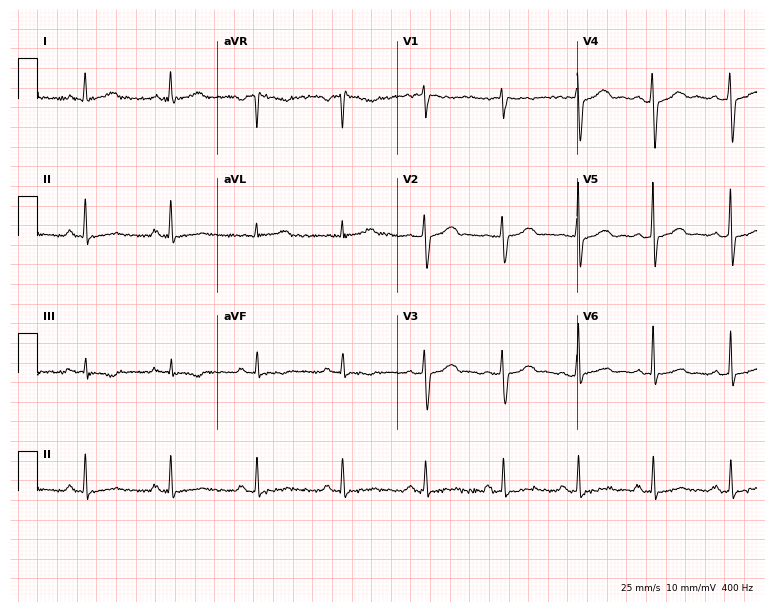
Resting 12-lead electrocardiogram (7.3-second recording at 400 Hz). Patient: a 38-year-old female. Read as a normal ECG.